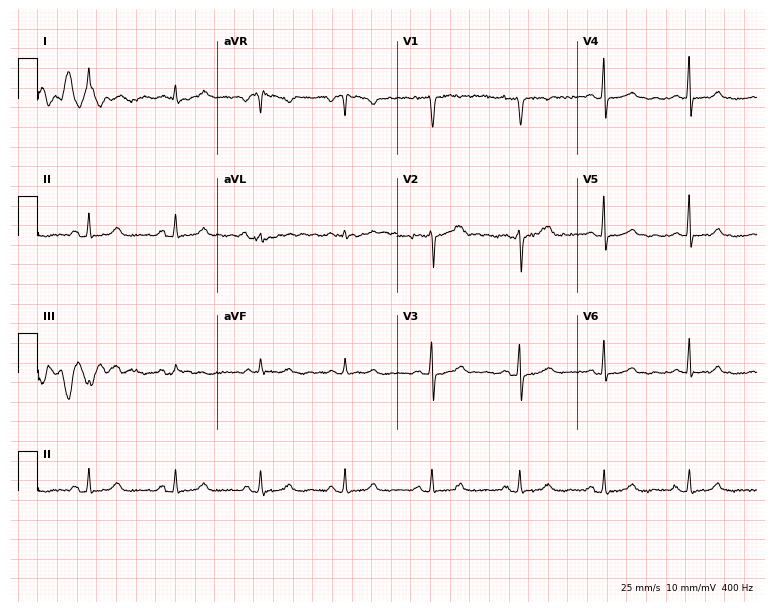
12-lead ECG from a 54-year-old female. No first-degree AV block, right bundle branch block, left bundle branch block, sinus bradycardia, atrial fibrillation or sinus tachycardia recorded for this tracing. Only these six findings were labelled.